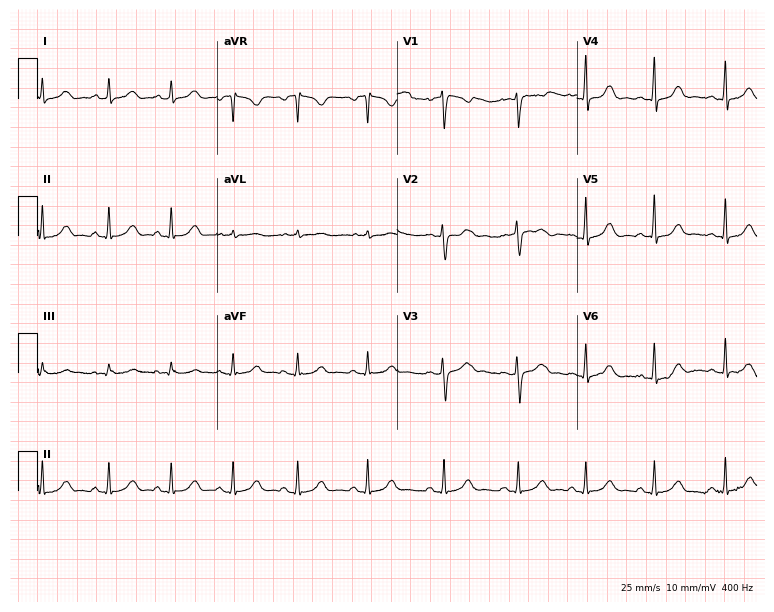
Resting 12-lead electrocardiogram (7.3-second recording at 400 Hz). Patient: a 30-year-old female. None of these six findings is recorded: first-degree AV block, right bundle branch block, left bundle branch block, sinus bradycardia, atrial fibrillation, sinus tachycardia.